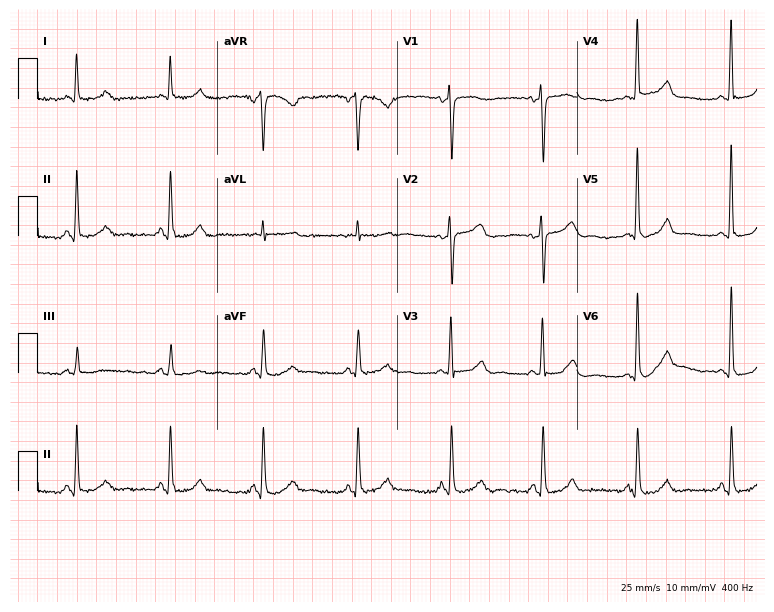
Resting 12-lead electrocardiogram (7.3-second recording at 400 Hz). Patient: a 56-year-old woman. Read as a normal ECG.